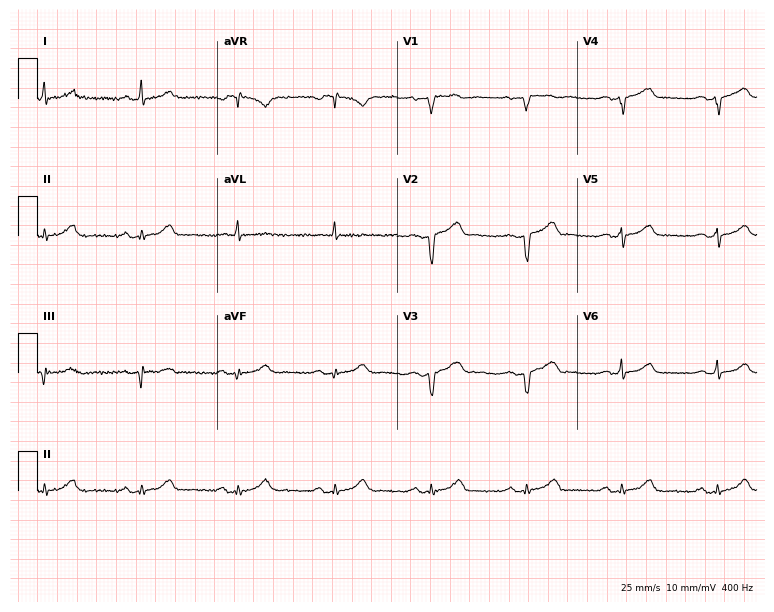
Electrocardiogram, a 60-year-old man. Of the six screened findings (first-degree AV block, right bundle branch block (RBBB), left bundle branch block (LBBB), sinus bradycardia, atrial fibrillation (AF), sinus tachycardia), none is recorded. Other findings, if any, are not listed.